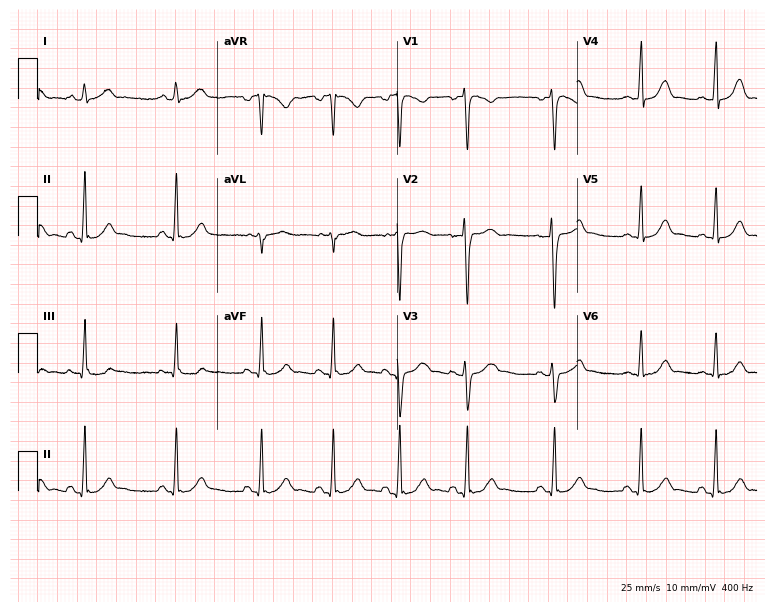
12-lead ECG from a 17-year-old female. Labelled as a normal ECG.